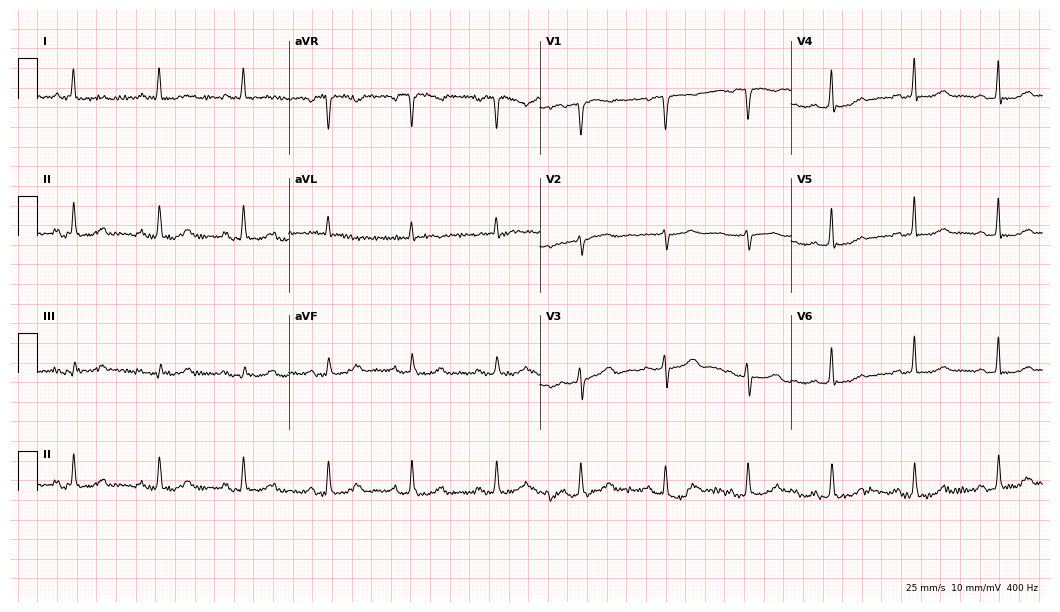
12-lead ECG from a 75-year-old woman. Recorded interpretation: within normal limits.